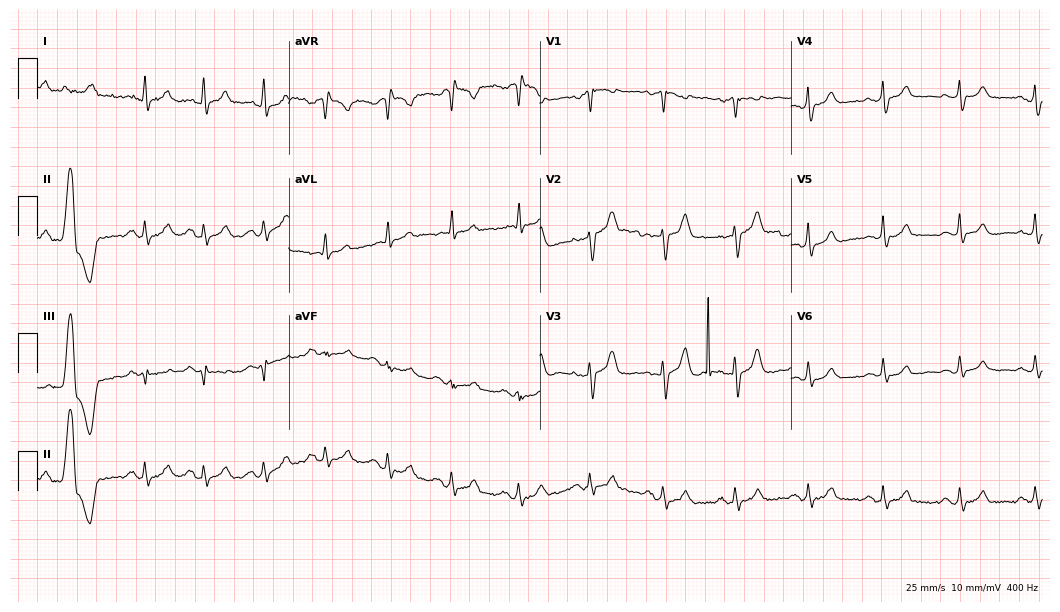
ECG (10.2-second recording at 400 Hz) — a female, 47 years old. Screened for six findings — first-degree AV block, right bundle branch block (RBBB), left bundle branch block (LBBB), sinus bradycardia, atrial fibrillation (AF), sinus tachycardia — none is recorded. Findings outside these six are not listed.